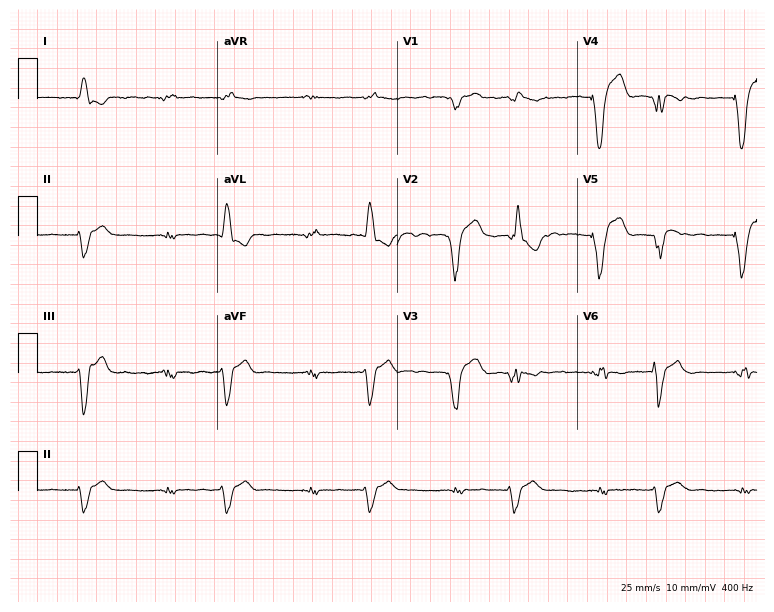
Standard 12-lead ECG recorded from a female patient, 35 years old (7.3-second recording at 400 Hz). None of these six findings is recorded: first-degree AV block, right bundle branch block, left bundle branch block, sinus bradycardia, atrial fibrillation, sinus tachycardia.